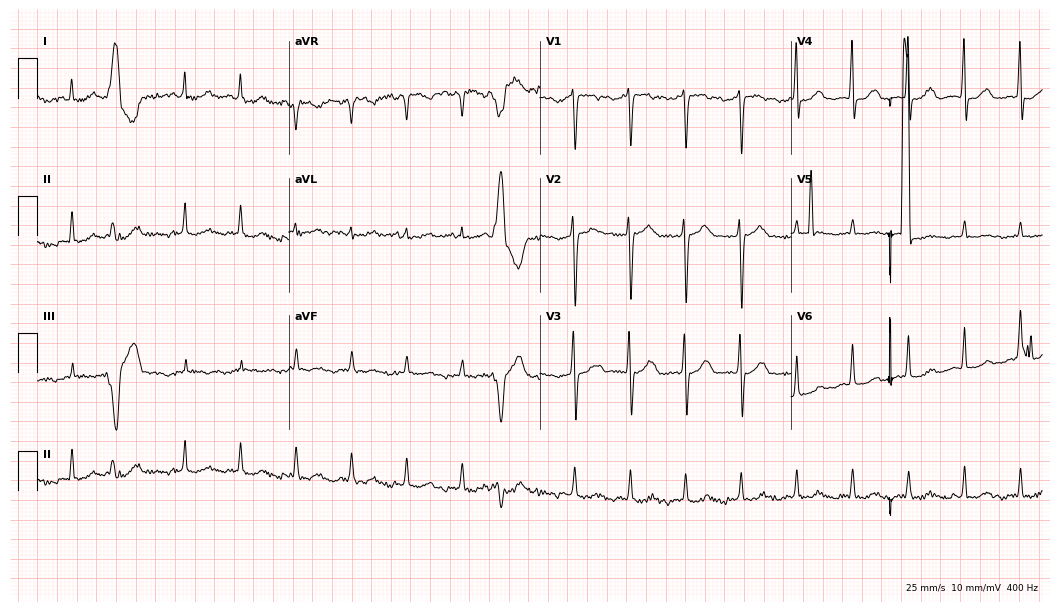
12-lead ECG from a 53-year-old male patient (10.2-second recording at 400 Hz). No first-degree AV block, right bundle branch block, left bundle branch block, sinus bradycardia, atrial fibrillation or sinus tachycardia recorded for this tracing. Findings outside these six are not listed.